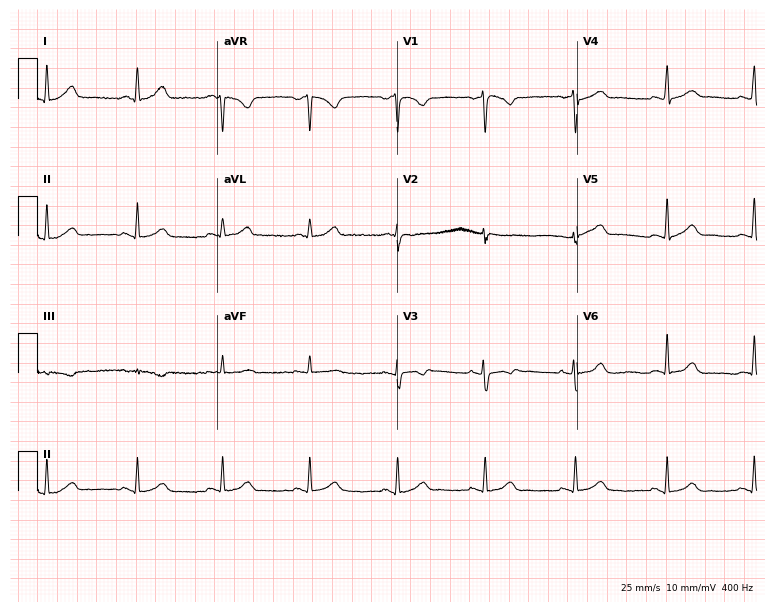
12-lead ECG from a woman, 28 years old. No first-degree AV block, right bundle branch block (RBBB), left bundle branch block (LBBB), sinus bradycardia, atrial fibrillation (AF) or sinus tachycardia recorded for this tracing. Only these six findings were labelled.